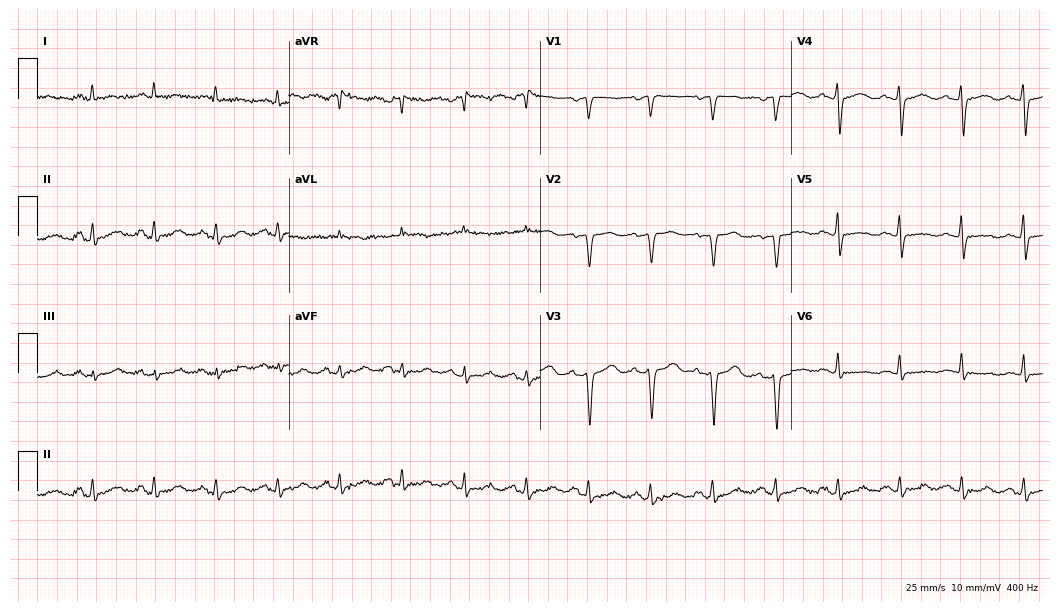
12-lead ECG (10.2-second recording at 400 Hz) from a 58-year-old woman. Labelled as a normal ECG.